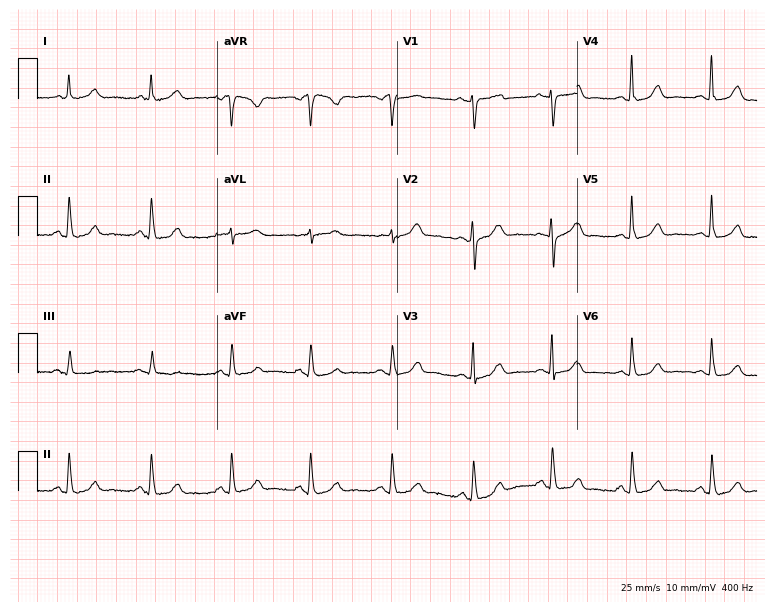
Electrocardiogram (7.3-second recording at 400 Hz), a female, 58 years old. Overall reading on record: normal ECG.